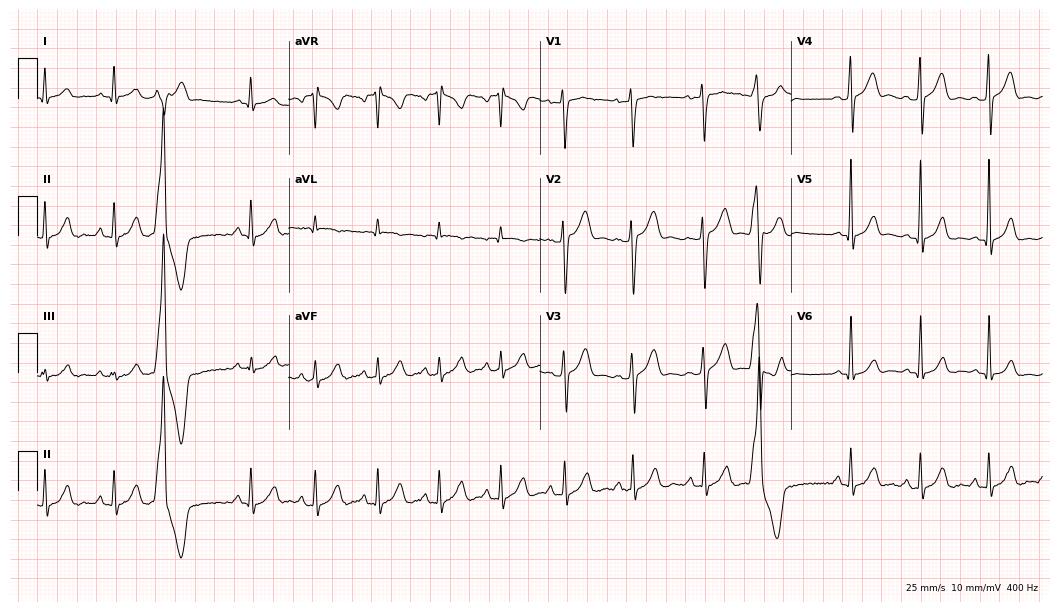
12-lead ECG from a 26-year-old man. Labelled as a normal ECG.